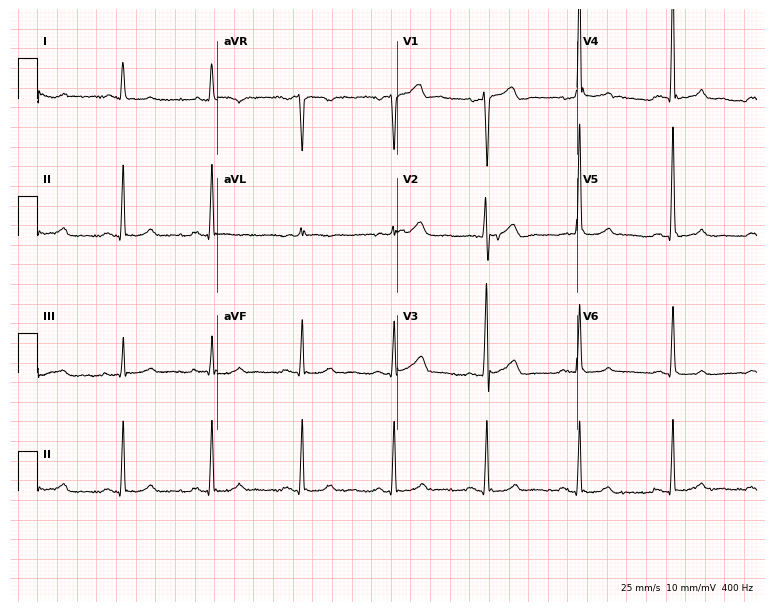
Resting 12-lead electrocardiogram (7.3-second recording at 400 Hz). Patient: a 70-year-old man. None of these six findings is recorded: first-degree AV block, right bundle branch block (RBBB), left bundle branch block (LBBB), sinus bradycardia, atrial fibrillation (AF), sinus tachycardia. Only these six findings were labelled.